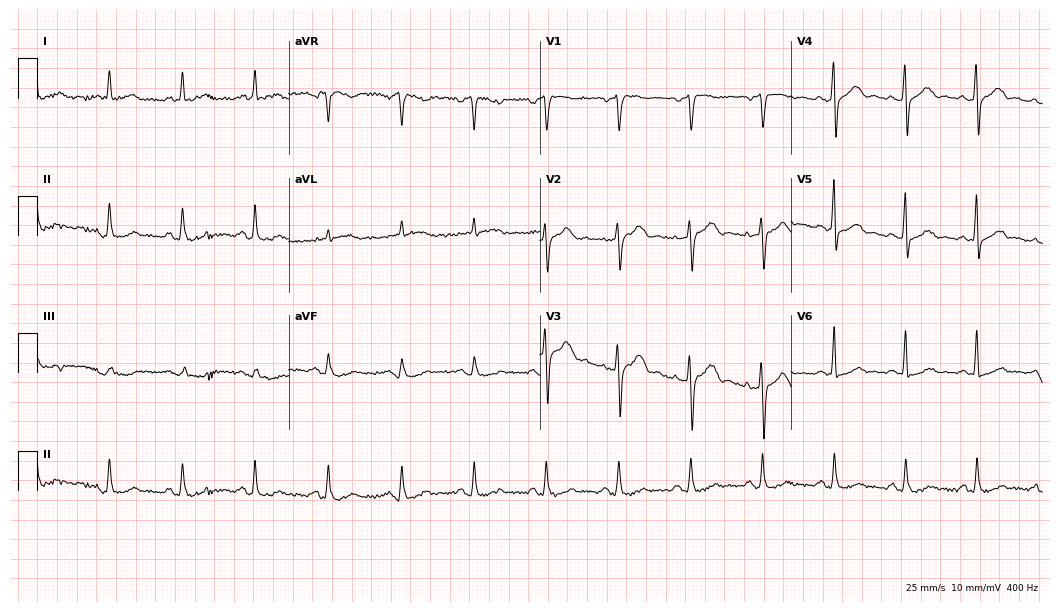
12-lead ECG from a male, 62 years old (10.2-second recording at 400 Hz). No first-degree AV block, right bundle branch block, left bundle branch block, sinus bradycardia, atrial fibrillation or sinus tachycardia recorded for this tracing.